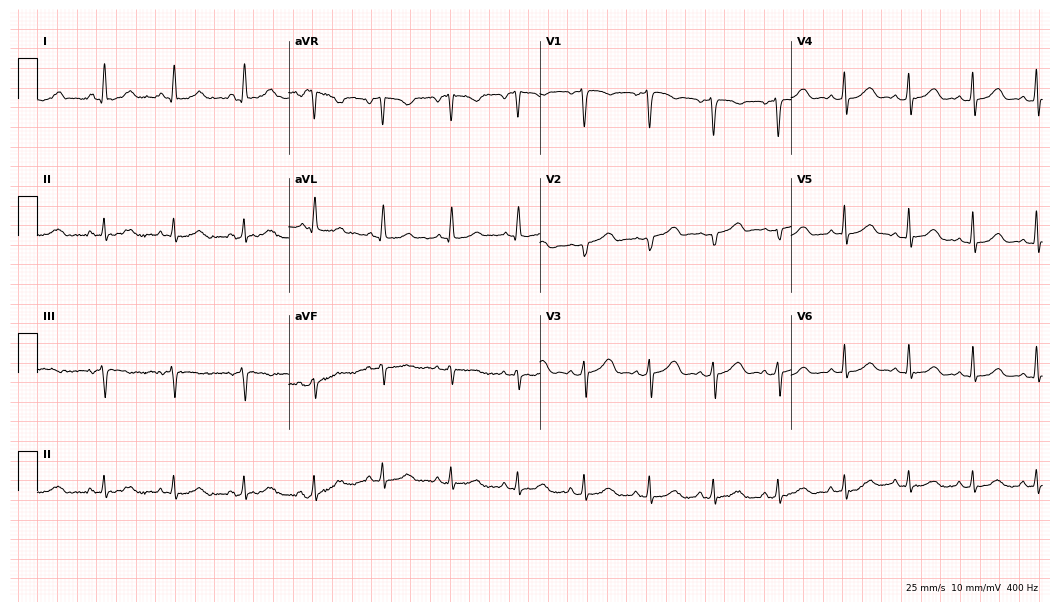
Standard 12-lead ECG recorded from a 32-year-old female patient. None of these six findings is recorded: first-degree AV block, right bundle branch block, left bundle branch block, sinus bradycardia, atrial fibrillation, sinus tachycardia.